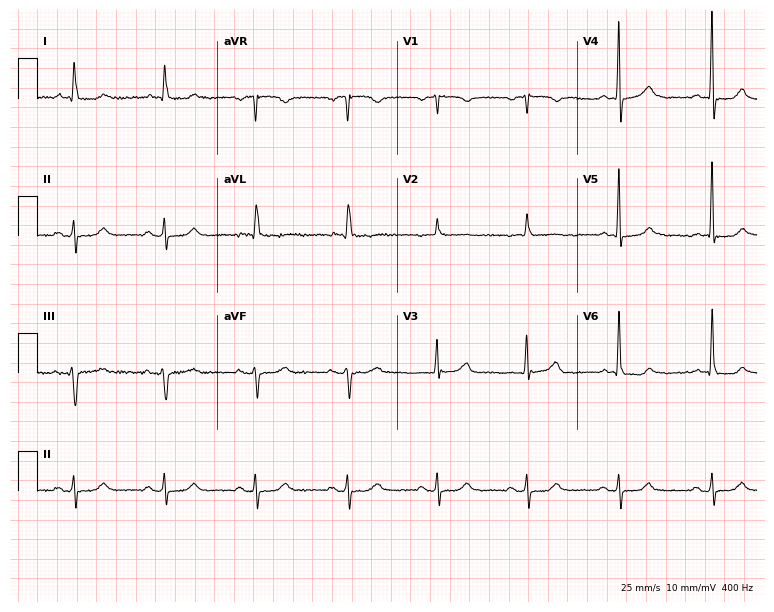
12-lead ECG (7.3-second recording at 400 Hz) from a man, 80 years old. Labelled as a normal ECG.